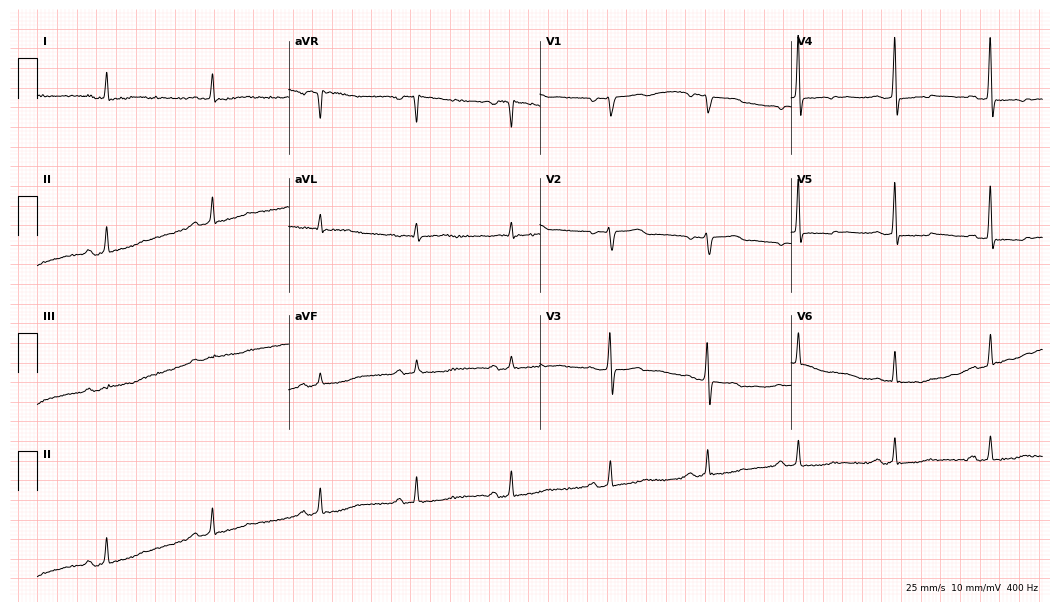
Standard 12-lead ECG recorded from a female patient, 55 years old (10.2-second recording at 400 Hz). None of these six findings is recorded: first-degree AV block, right bundle branch block, left bundle branch block, sinus bradycardia, atrial fibrillation, sinus tachycardia.